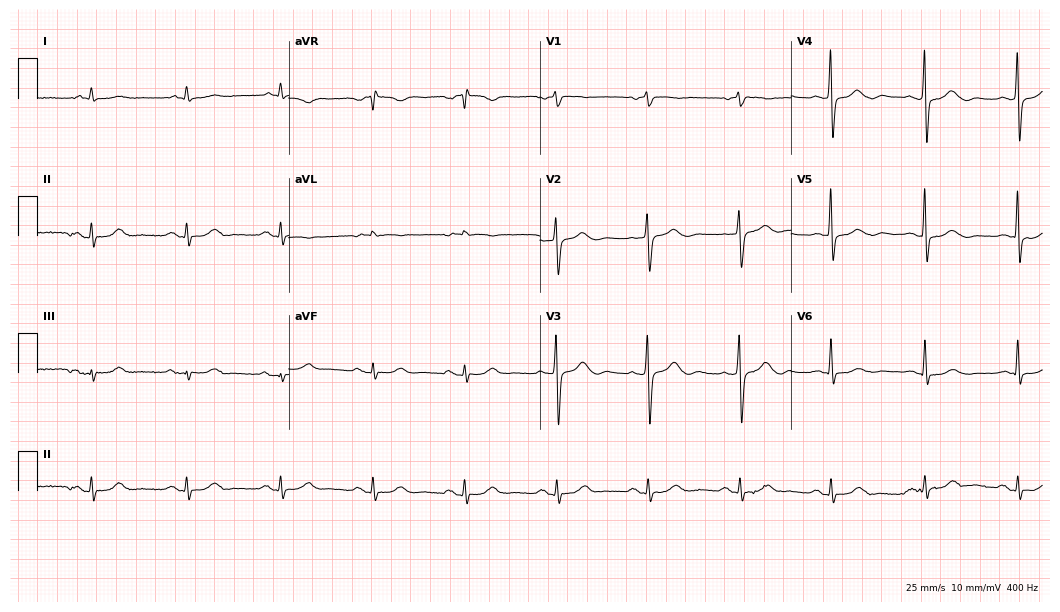
Electrocardiogram (10.2-second recording at 400 Hz), a male patient, 85 years old. Of the six screened findings (first-degree AV block, right bundle branch block, left bundle branch block, sinus bradycardia, atrial fibrillation, sinus tachycardia), none is recorded.